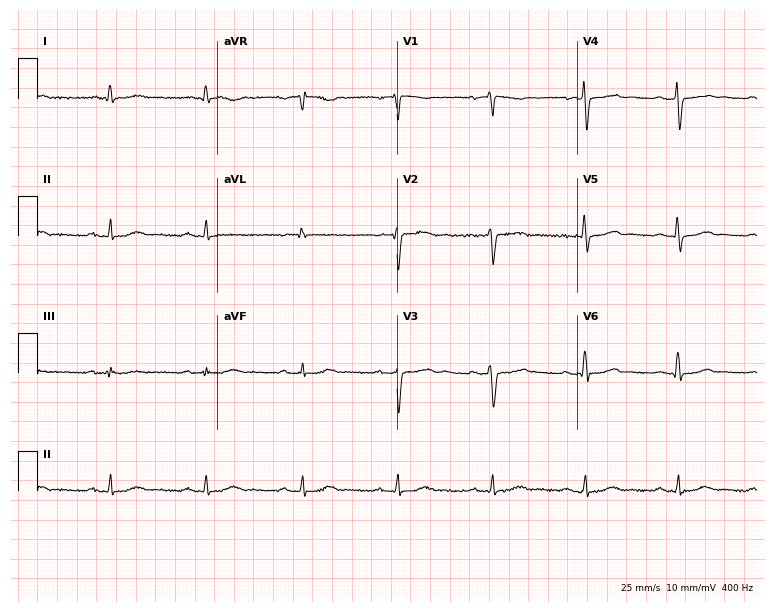
12-lead ECG from a 50-year-old male (7.3-second recording at 400 Hz). Recorded interpretation: within normal limits.